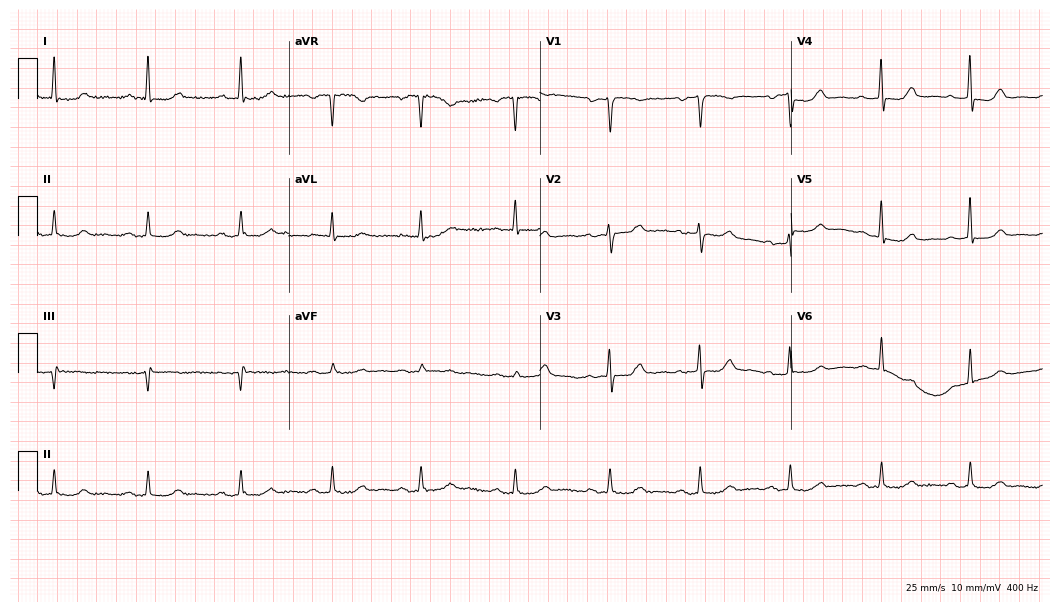
Electrocardiogram, a female patient, 79 years old. Of the six screened findings (first-degree AV block, right bundle branch block, left bundle branch block, sinus bradycardia, atrial fibrillation, sinus tachycardia), none is recorded. Other findings, if any, are not listed.